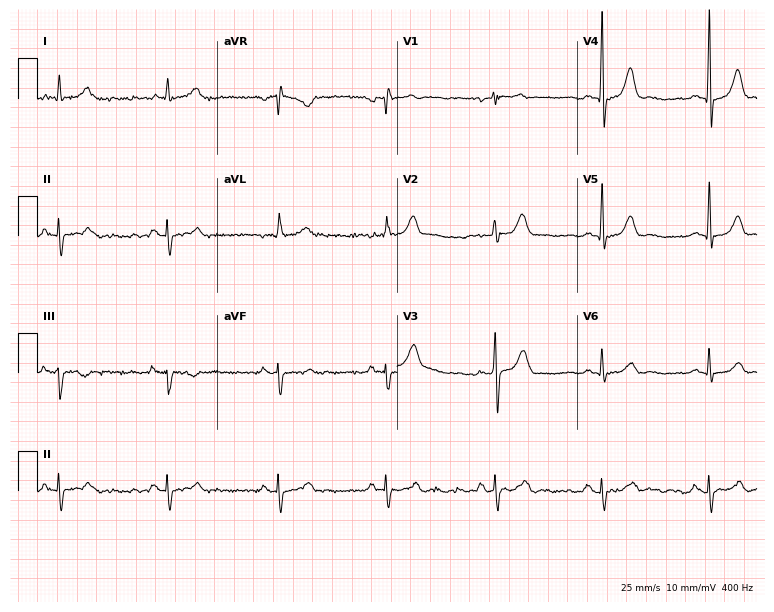
Resting 12-lead electrocardiogram (7.3-second recording at 400 Hz). Patient: a male, 43 years old. None of these six findings is recorded: first-degree AV block, right bundle branch block, left bundle branch block, sinus bradycardia, atrial fibrillation, sinus tachycardia. Other findings, if any, are not listed.